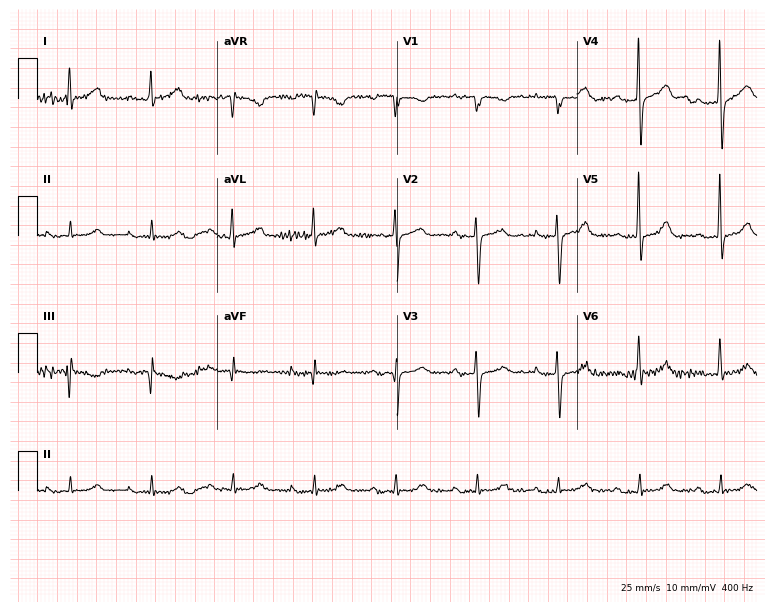
12-lead ECG (7.3-second recording at 400 Hz) from a 79-year-old man. Findings include first-degree AV block.